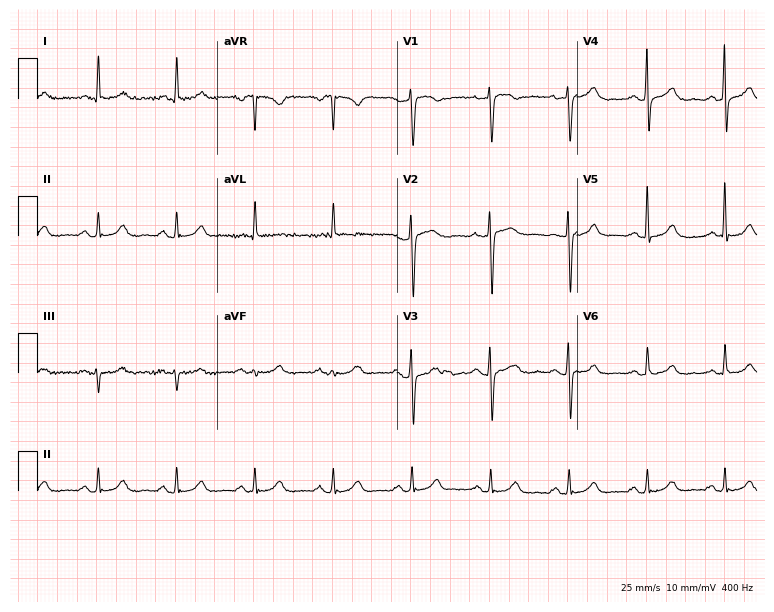
Resting 12-lead electrocardiogram. Patient: a female, 65 years old. Read as a normal ECG.